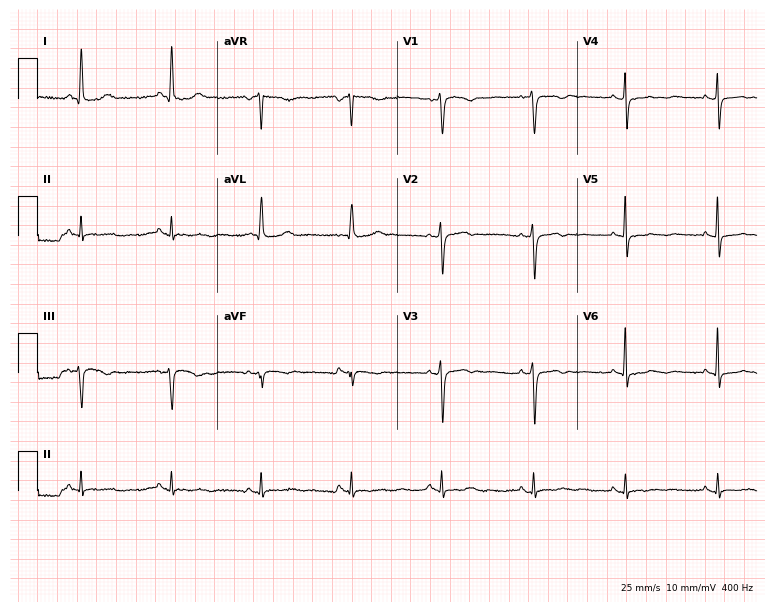
Resting 12-lead electrocardiogram (7.3-second recording at 400 Hz). Patient: a 72-year-old female. None of these six findings is recorded: first-degree AV block, right bundle branch block, left bundle branch block, sinus bradycardia, atrial fibrillation, sinus tachycardia. Only these six findings were labelled.